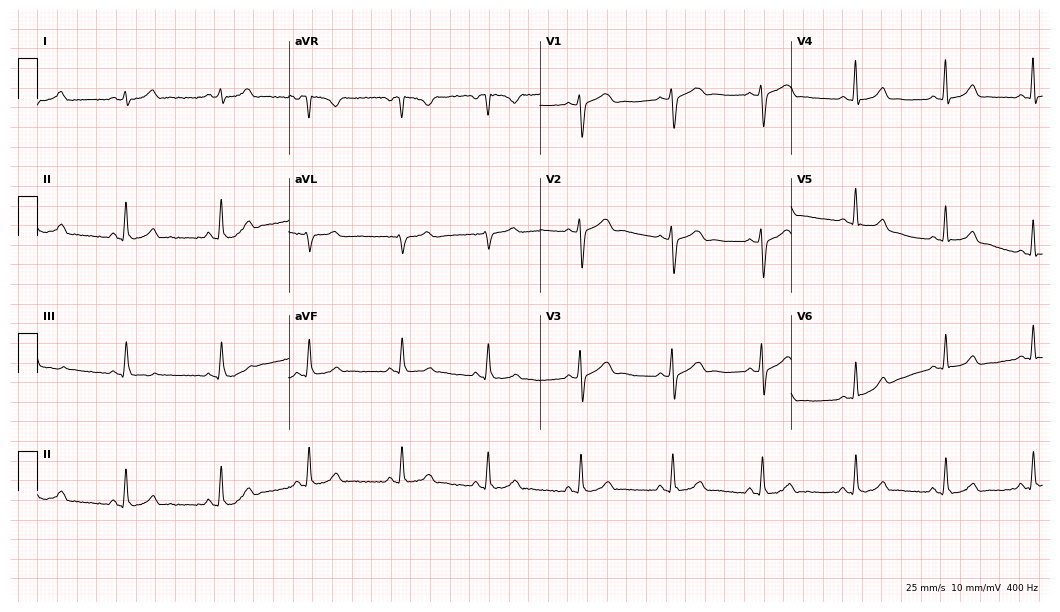
12-lead ECG from a female patient, 24 years old (10.2-second recording at 400 Hz). Recorded interpretation: within normal limits.